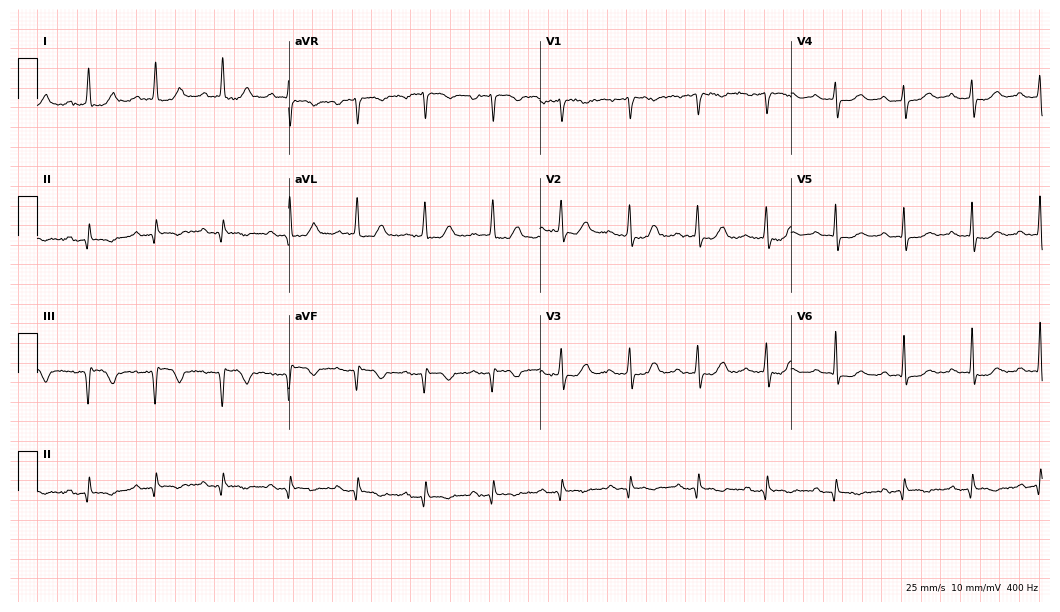
Electrocardiogram (10.2-second recording at 400 Hz), a female patient, 77 years old. Of the six screened findings (first-degree AV block, right bundle branch block, left bundle branch block, sinus bradycardia, atrial fibrillation, sinus tachycardia), none is recorded. Only these six findings were labelled.